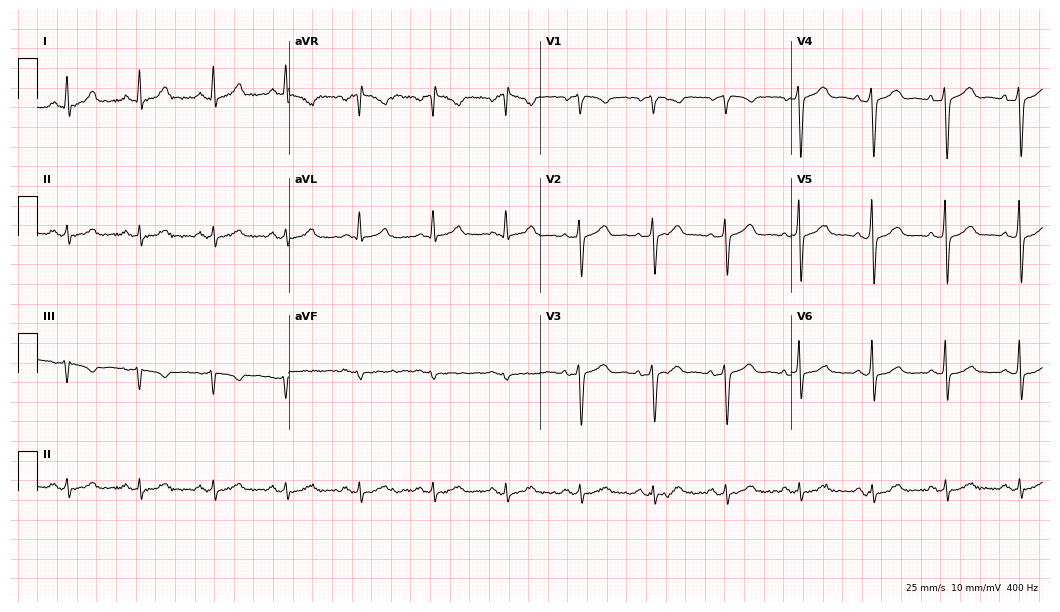
Electrocardiogram (10.2-second recording at 400 Hz), a female, 35 years old. Of the six screened findings (first-degree AV block, right bundle branch block (RBBB), left bundle branch block (LBBB), sinus bradycardia, atrial fibrillation (AF), sinus tachycardia), none is recorded.